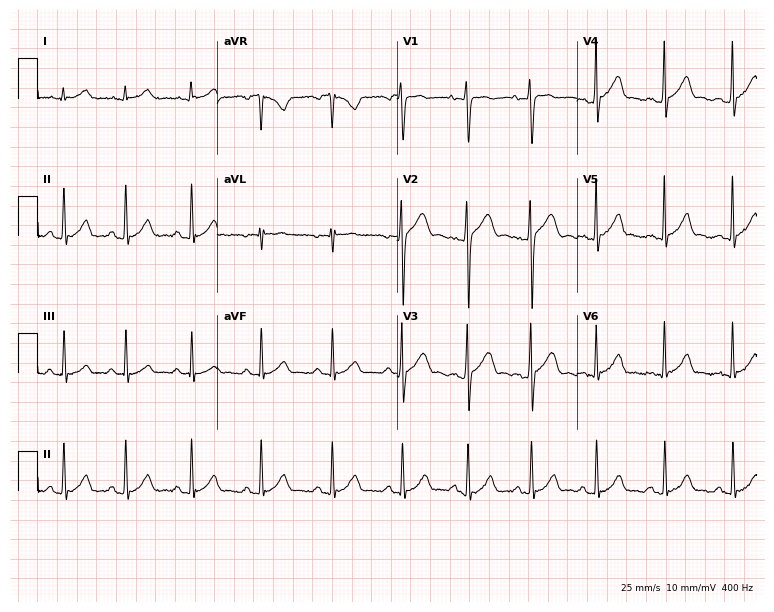
12-lead ECG (7.3-second recording at 400 Hz) from a 19-year-old male. Screened for six findings — first-degree AV block, right bundle branch block, left bundle branch block, sinus bradycardia, atrial fibrillation, sinus tachycardia — none is recorded. Other findings, if any, are not listed.